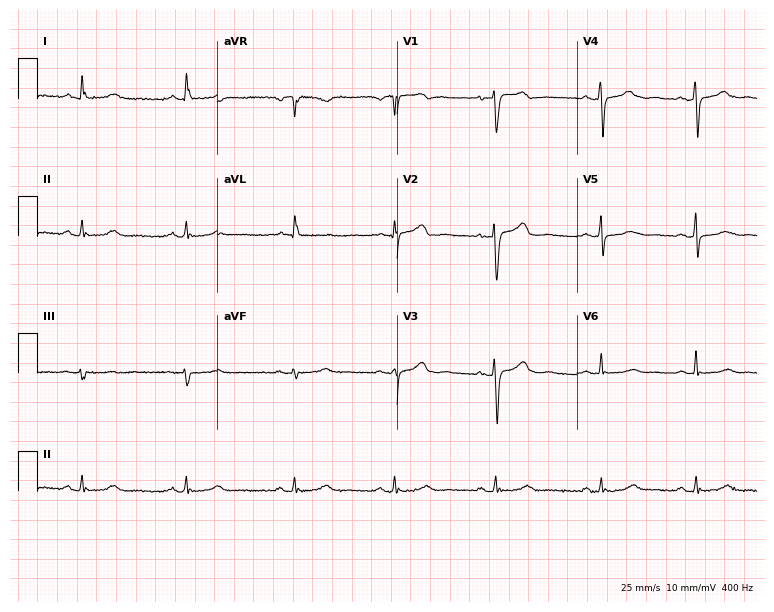
12-lead ECG from a 51-year-old female. No first-degree AV block, right bundle branch block, left bundle branch block, sinus bradycardia, atrial fibrillation or sinus tachycardia recorded for this tracing. Only these six findings were labelled.